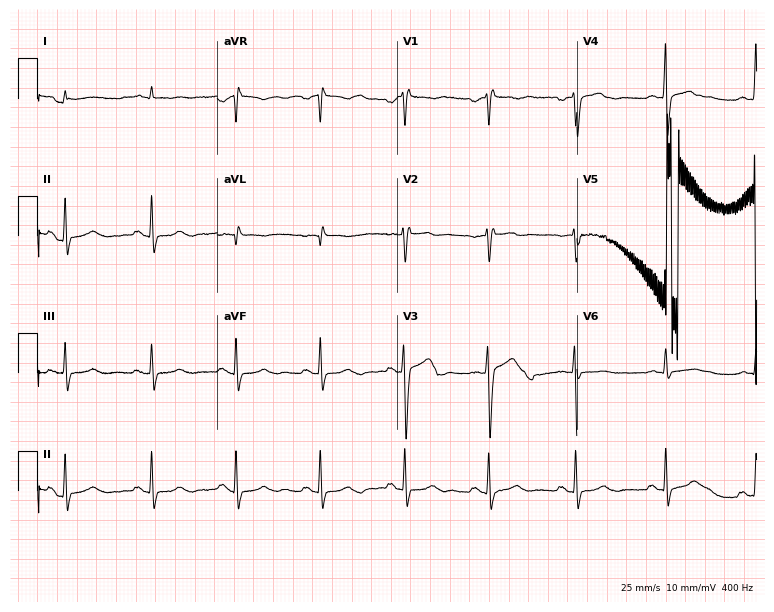
12-lead ECG (7.3-second recording at 400 Hz) from a male, 44 years old. Screened for six findings — first-degree AV block, right bundle branch block, left bundle branch block, sinus bradycardia, atrial fibrillation, sinus tachycardia — none is recorded. Other findings, if any, are not listed.